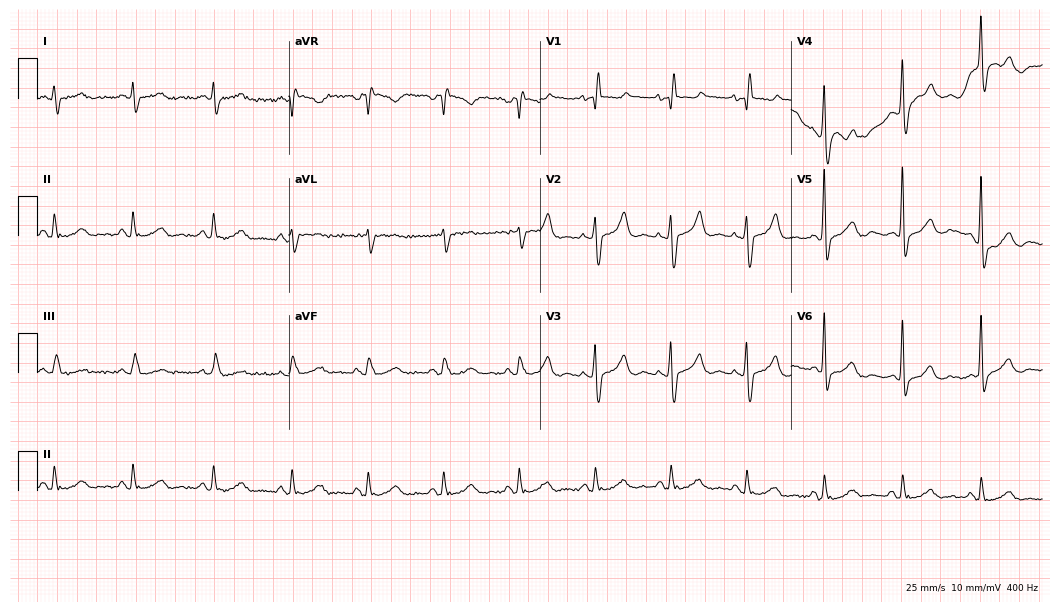
Standard 12-lead ECG recorded from a man, 61 years old (10.2-second recording at 400 Hz). None of these six findings is recorded: first-degree AV block, right bundle branch block (RBBB), left bundle branch block (LBBB), sinus bradycardia, atrial fibrillation (AF), sinus tachycardia. Findings outside these six are not listed.